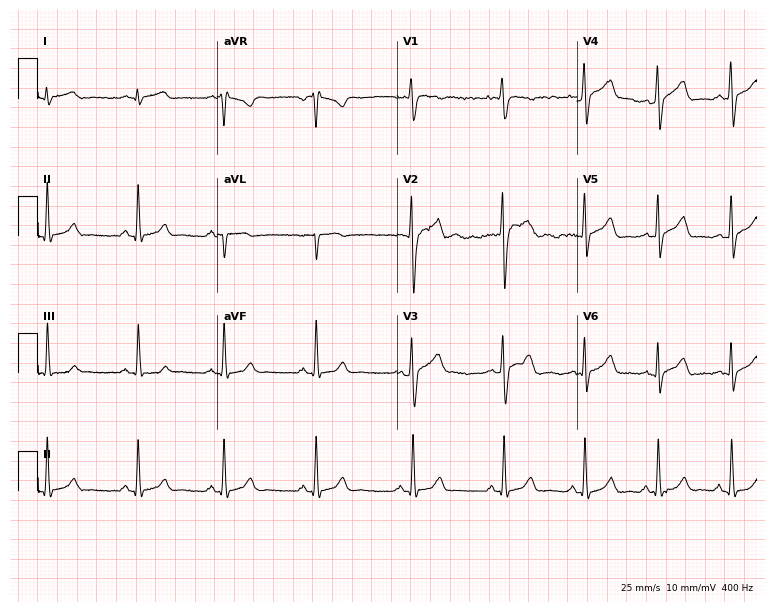
ECG — a man, 20 years old. Labelled as a normal ECG.